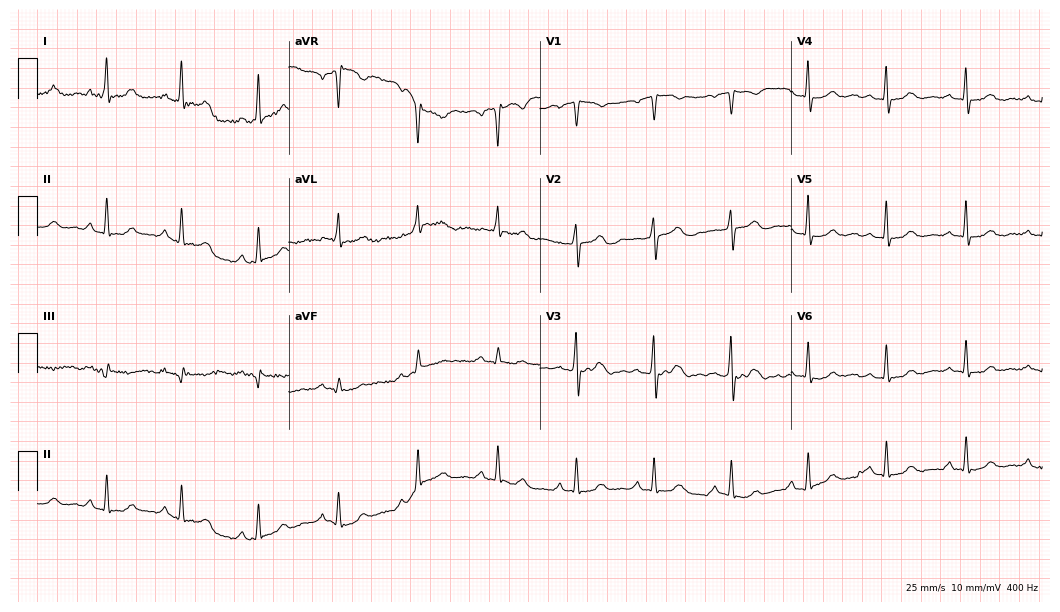
Resting 12-lead electrocardiogram. Patient: a female, 81 years old. None of these six findings is recorded: first-degree AV block, right bundle branch block, left bundle branch block, sinus bradycardia, atrial fibrillation, sinus tachycardia.